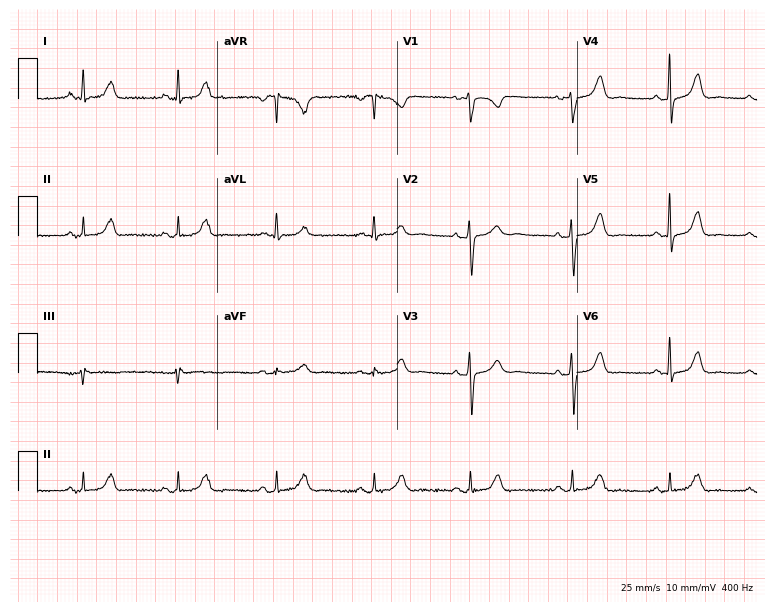
12-lead ECG from a female, 42 years old. Screened for six findings — first-degree AV block, right bundle branch block (RBBB), left bundle branch block (LBBB), sinus bradycardia, atrial fibrillation (AF), sinus tachycardia — none is recorded. Findings outside these six are not listed.